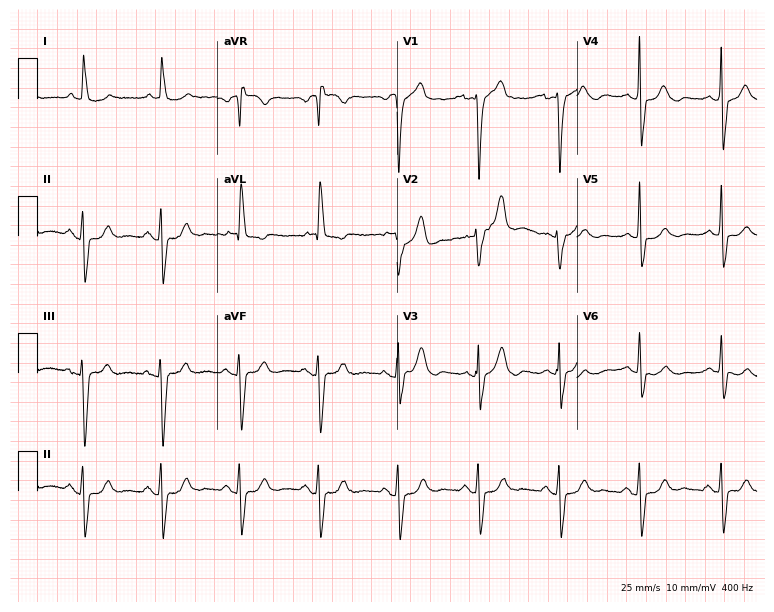
12-lead ECG from a female, 79 years old. Screened for six findings — first-degree AV block, right bundle branch block, left bundle branch block, sinus bradycardia, atrial fibrillation, sinus tachycardia — none is recorded. Findings outside these six are not listed.